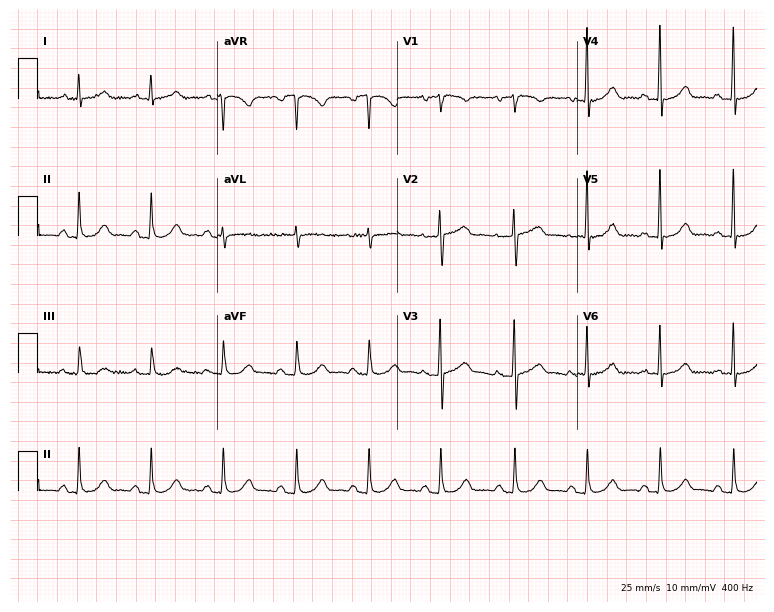
ECG (7.3-second recording at 400 Hz) — a 65-year-old female patient. Labelled as a normal ECG.